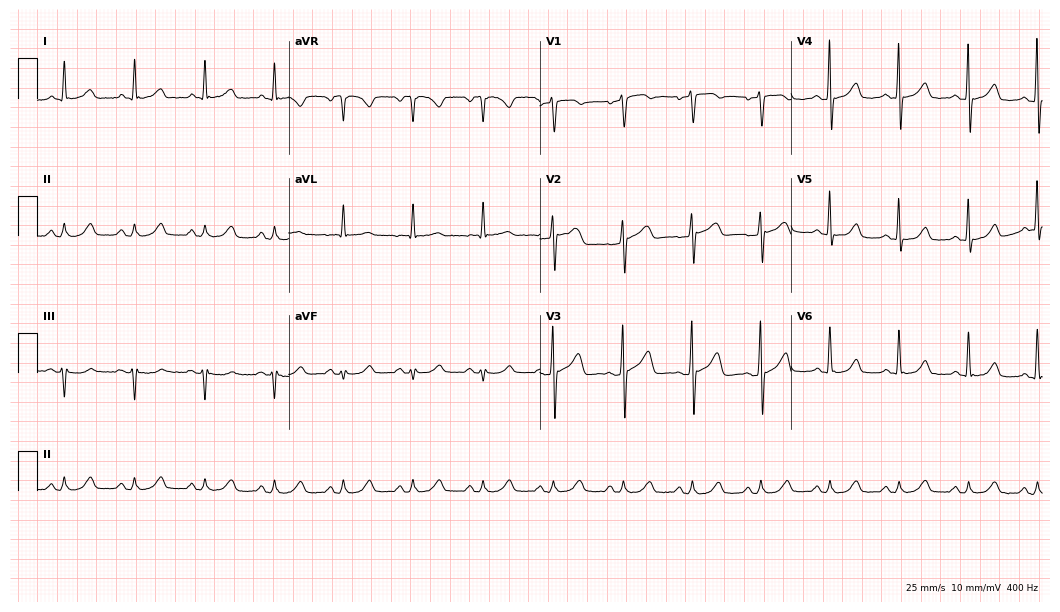
ECG (10.2-second recording at 400 Hz) — a 56-year-old female. Labelled as a normal ECG.